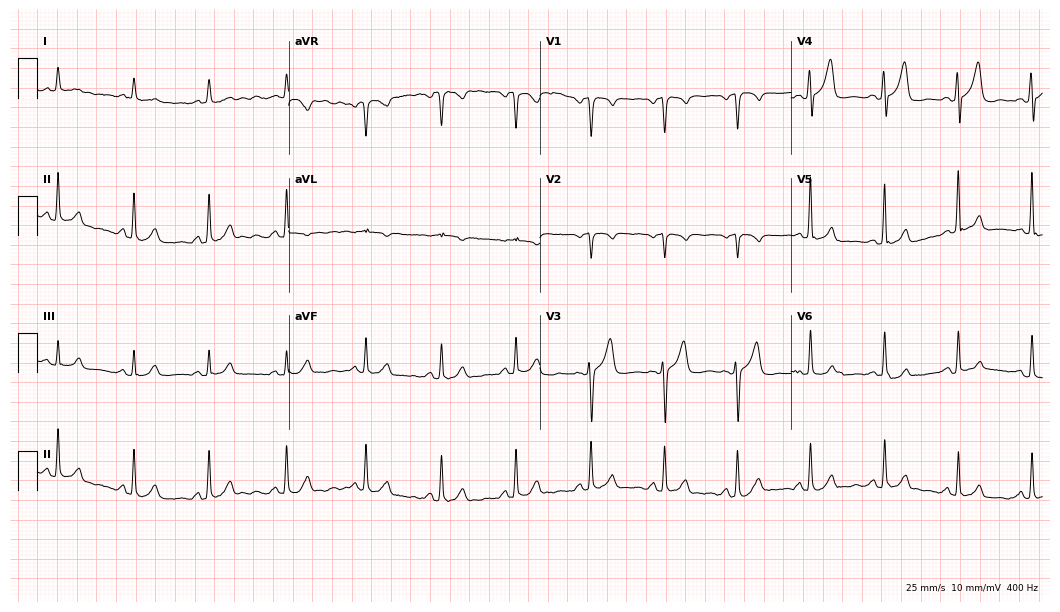
ECG — a 56-year-old male patient. Labelled as a normal ECG.